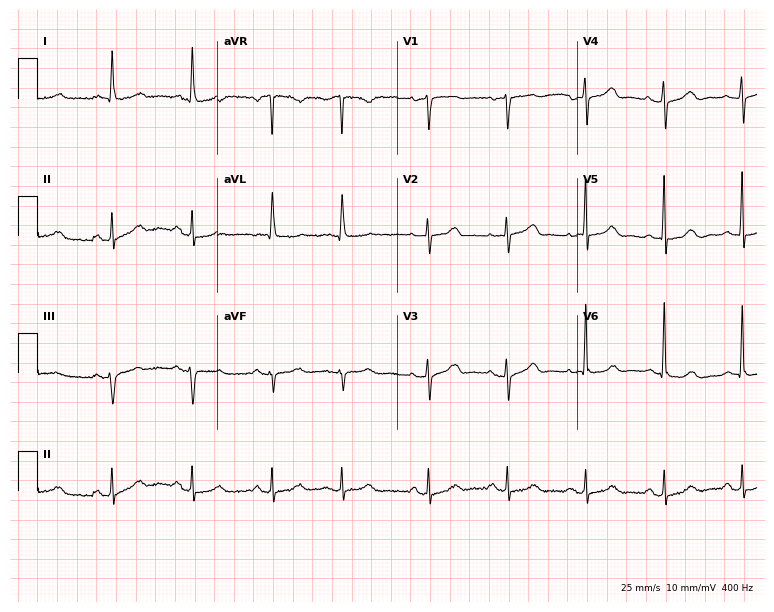
12-lead ECG from an 83-year-old female. Screened for six findings — first-degree AV block, right bundle branch block, left bundle branch block, sinus bradycardia, atrial fibrillation, sinus tachycardia — none is recorded.